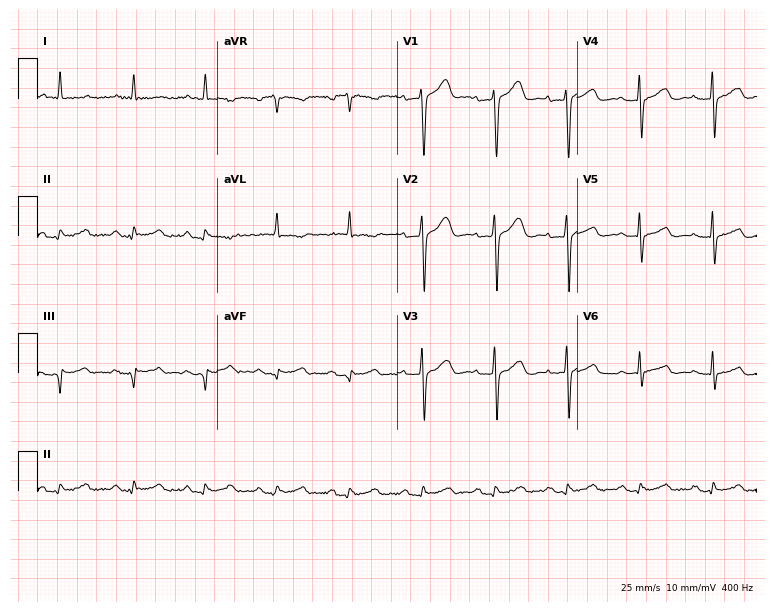
Standard 12-lead ECG recorded from a man, 70 years old (7.3-second recording at 400 Hz). None of these six findings is recorded: first-degree AV block, right bundle branch block, left bundle branch block, sinus bradycardia, atrial fibrillation, sinus tachycardia. Other findings, if any, are not listed.